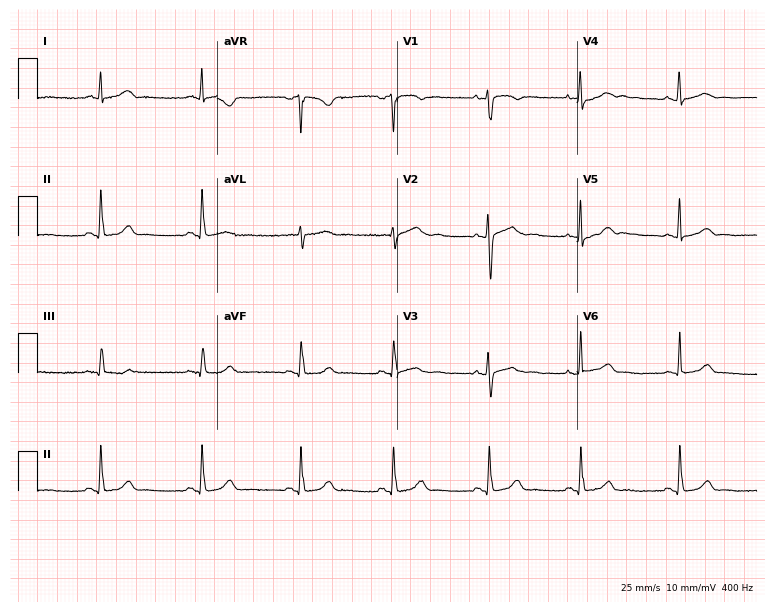
Electrocardiogram (7.3-second recording at 400 Hz), a 22-year-old female. Overall reading on record: normal ECG.